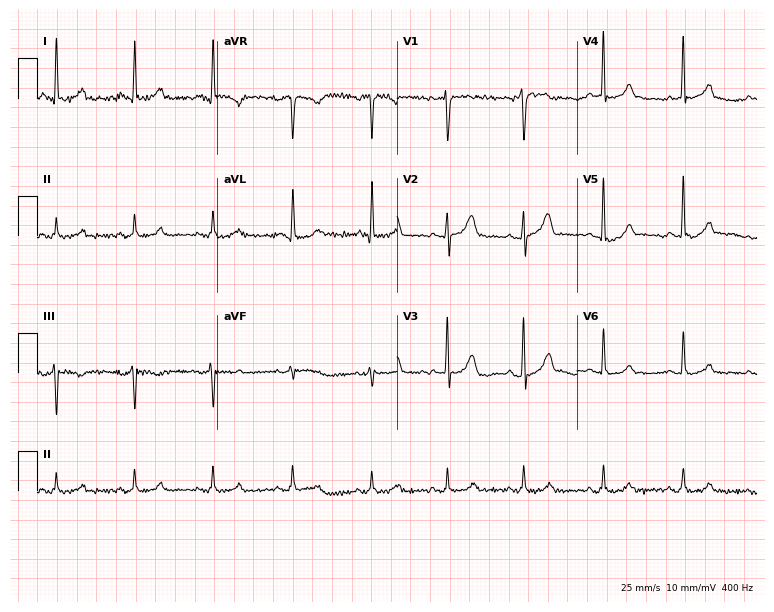
ECG (7.3-second recording at 400 Hz) — a female, 63 years old. Screened for six findings — first-degree AV block, right bundle branch block, left bundle branch block, sinus bradycardia, atrial fibrillation, sinus tachycardia — none is recorded. Other findings, if any, are not listed.